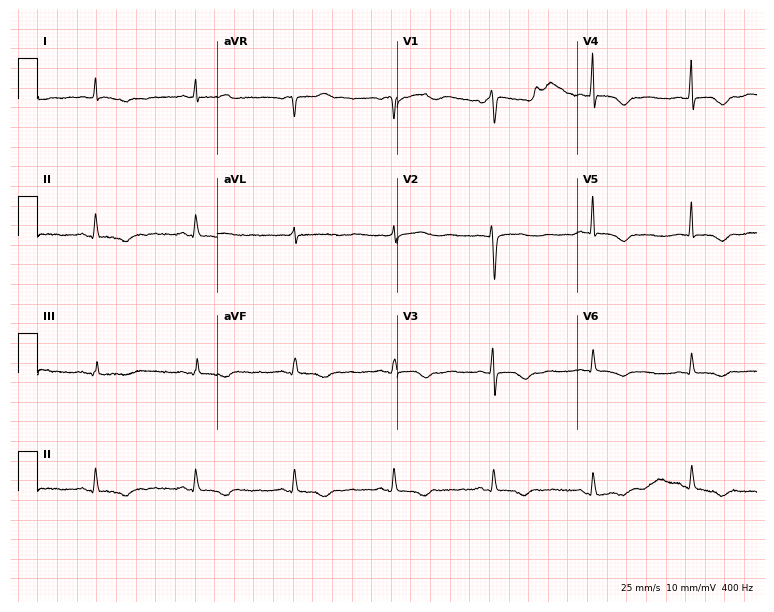
Resting 12-lead electrocardiogram. Patient: a 52-year-old female. None of these six findings is recorded: first-degree AV block, right bundle branch block (RBBB), left bundle branch block (LBBB), sinus bradycardia, atrial fibrillation (AF), sinus tachycardia. Only these six findings were labelled.